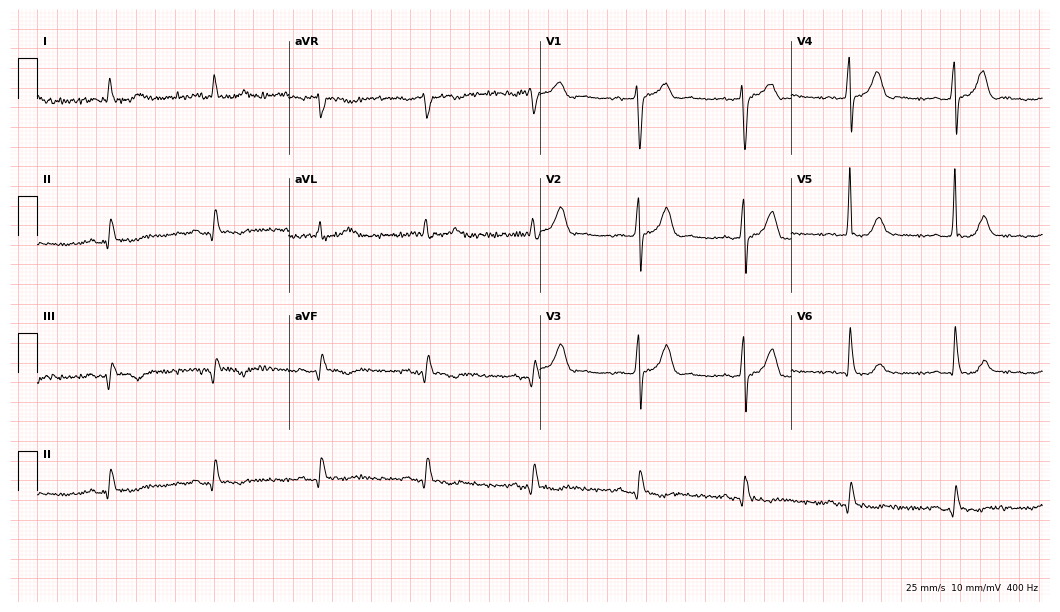
12-lead ECG from an 81-year-old male patient. No first-degree AV block, right bundle branch block (RBBB), left bundle branch block (LBBB), sinus bradycardia, atrial fibrillation (AF) or sinus tachycardia recorded for this tracing.